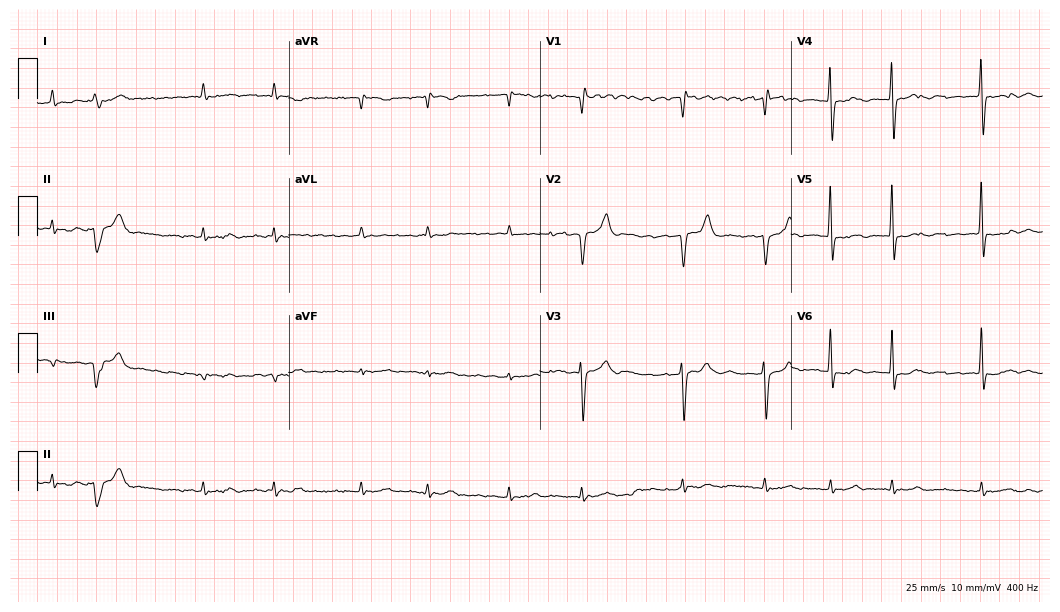
Standard 12-lead ECG recorded from an 89-year-old male. None of these six findings is recorded: first-degree AV block, right bundle branch block (RBBB), left bundle branch block (LBBB), sinus bradycardia, atrial fibrillation (AF), sinus tachycardia.